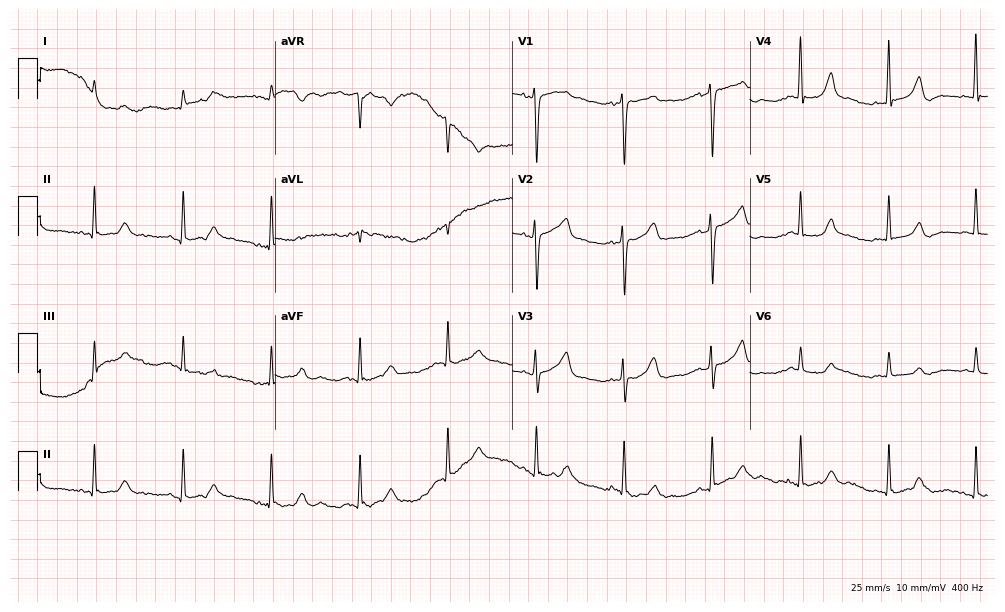
Resting 12-lead electrocardiogram. Patient: a 69-year-old man. Read as a normal ECG.